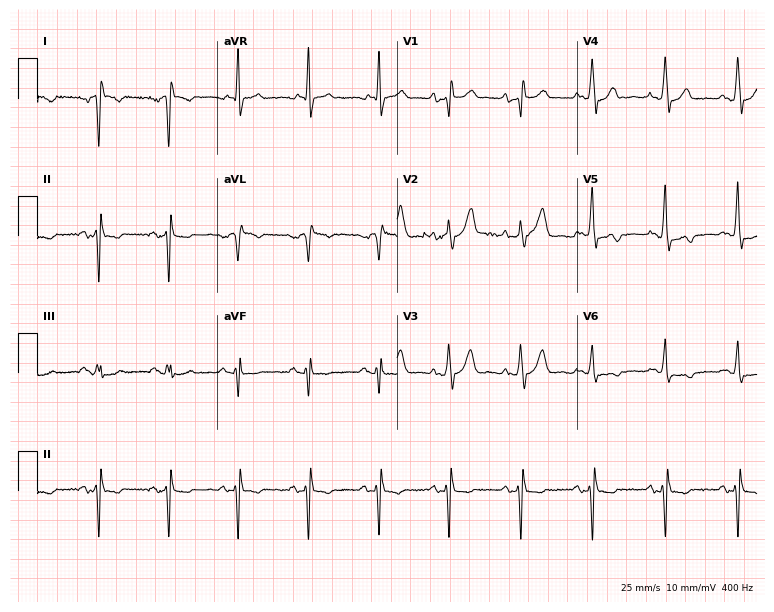
12-lead ECG (7.3-second recording at 400 Hz) from an 84-year-old male patient. Screened for six findings — first-degree AV block, right bundle branch block (RBBB), left bundle branch block (LBBB), sinus bradycardia, atrial fibrillation (AF), sinus tachycardia — none is recorded.